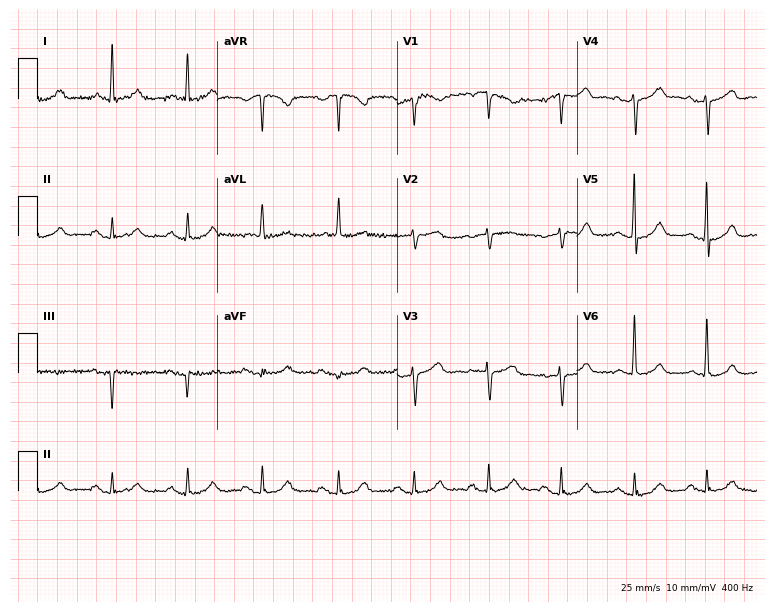
ECG — a 69-year-old woman. Screened for six findings — first-degree AV block, right bundle branch block, left bundle branch block, sinus bradycardia, atrial fibrillation, sinus tachycardia — none is recorded.